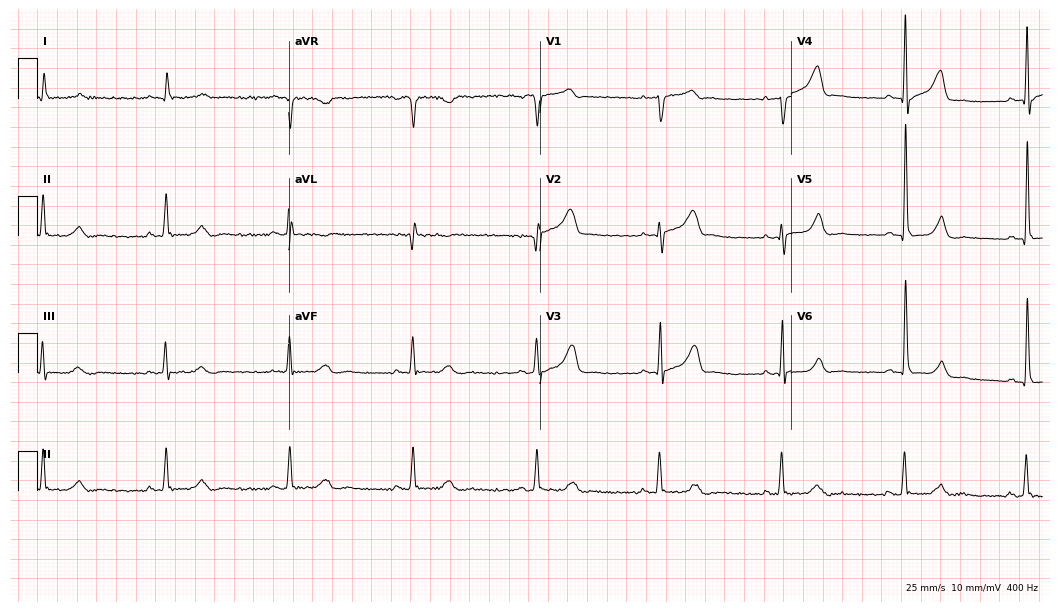
12-lead ECG from a 71-year-old male. Shows sinus bradycardia (a sinus rate of 50 beats per minute or less).